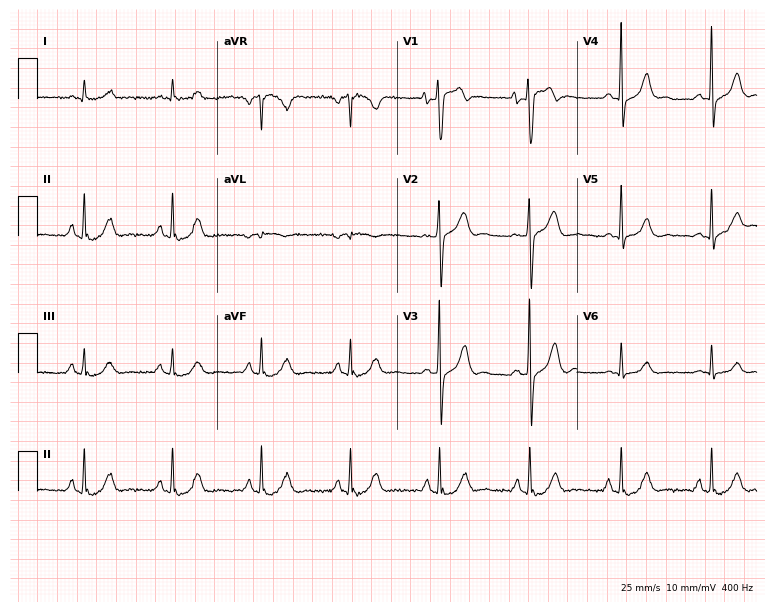
12-lead ECG (7.3-second recording at 400 Hz) from a 66-year-old male patient. Screened for six findings — first-degree AV block, right bundle branch block (RBBB), left bundle branch block (LBBB), sinus bradycardia, atrial fibrillation (AF), sinus tachycardia — none is recorded. Findings outside these six are not listed.